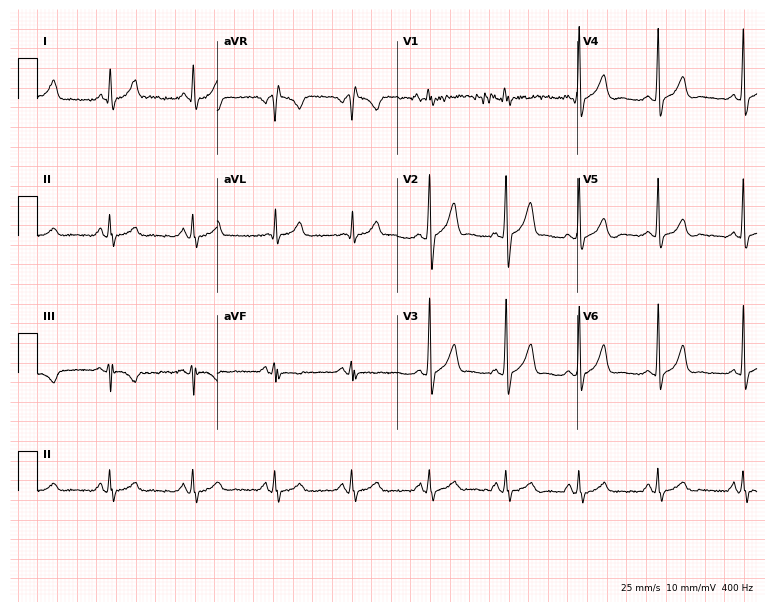
ECG (7.3-second recording at 400 Hz) — a 41-year-old male. Labelled as a normal ECG.